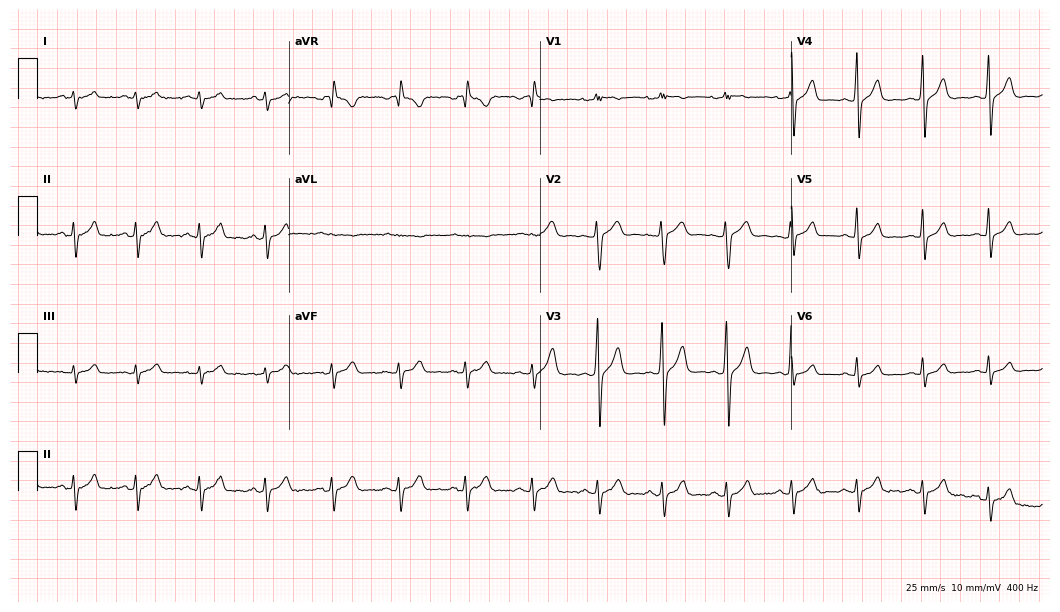
ECG (10.2-second recording at 400 Hz) — a man, 28 years old. Labelled as a normal ECG.